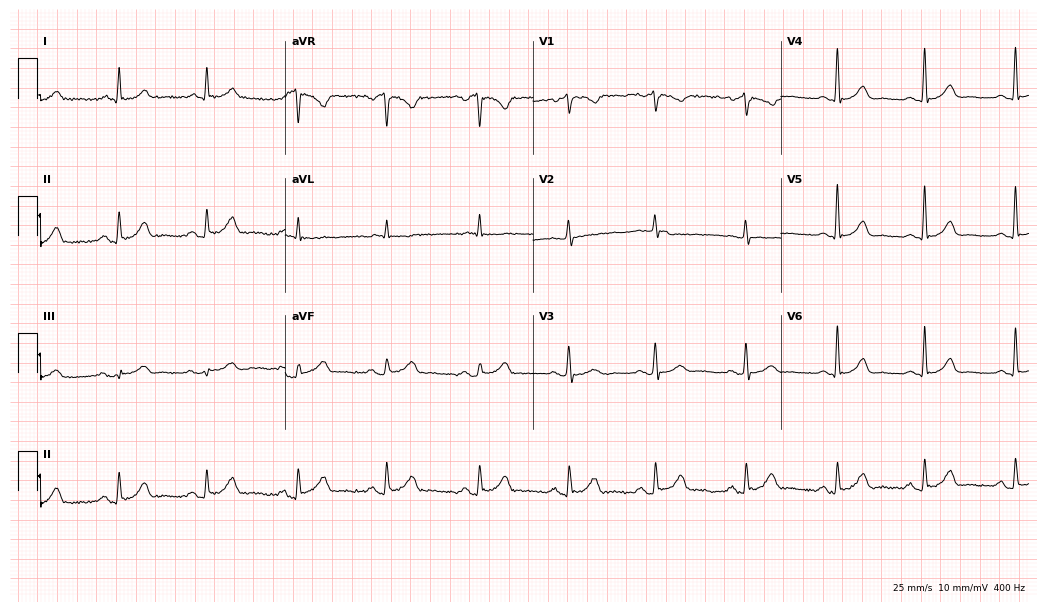
Resting 12-lead electrocardiogram. Patient: a female, 75 years old. Read as a normal ECG.